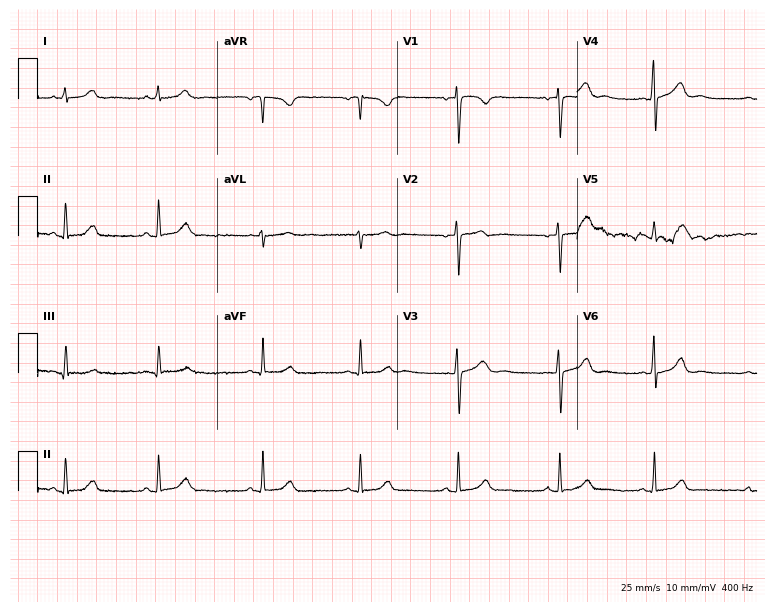
Standard 12-lead ECG recorded from a female, 28 years old (7.3-second recording at 400 Hz). None of these six findings is recorded: first-degree AV block, right bundle branch block, left bundle branch block, sinus bradycardia, atrial fibrillation, sinus tachycardia. Other findings, if any, are not listed.